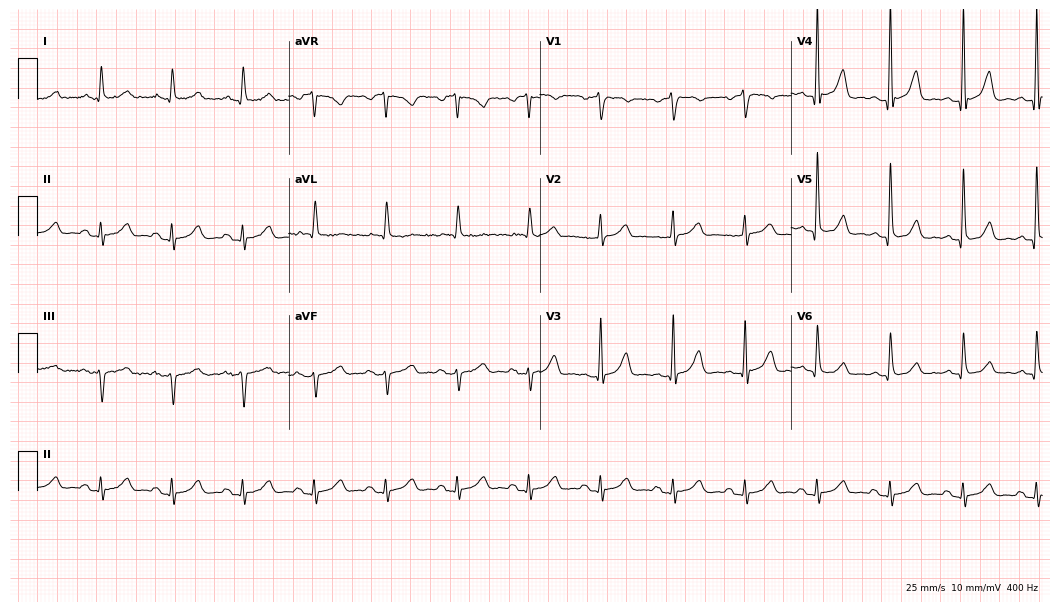
ECG — a male, 70 years old. Labelled as a normal ECG.